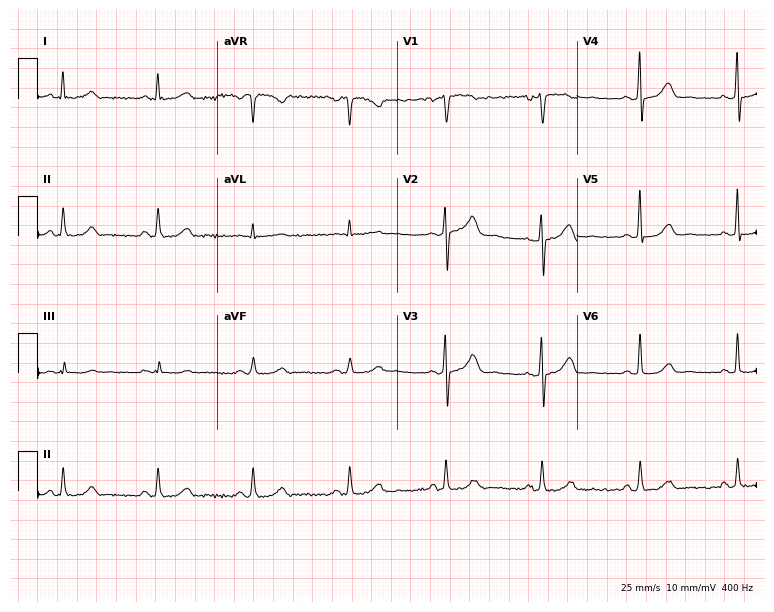
12-lead ECG from a female patient, 49 years old. Screened for six findings — first-degree AV block, right bundle branch block (RBBB), left bundle branch block (LBBB), sinus bradycardia, atrial fibrillation (AF), sinus tachycardia — none is recorded.